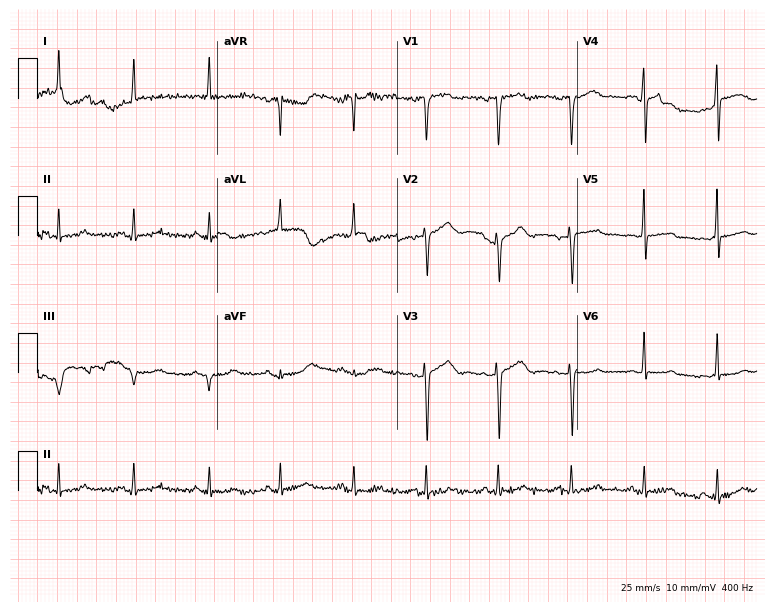
Resting 12-lead electrocardiogram. Patient: a woman, 43 years old. None of these six findings is recorded: first-degree AV block, right bundle branch block, left bundle branch block, sinus bradycardia, atrial fibrillation, sinus tachycardia. Findings outside these six are not listed.